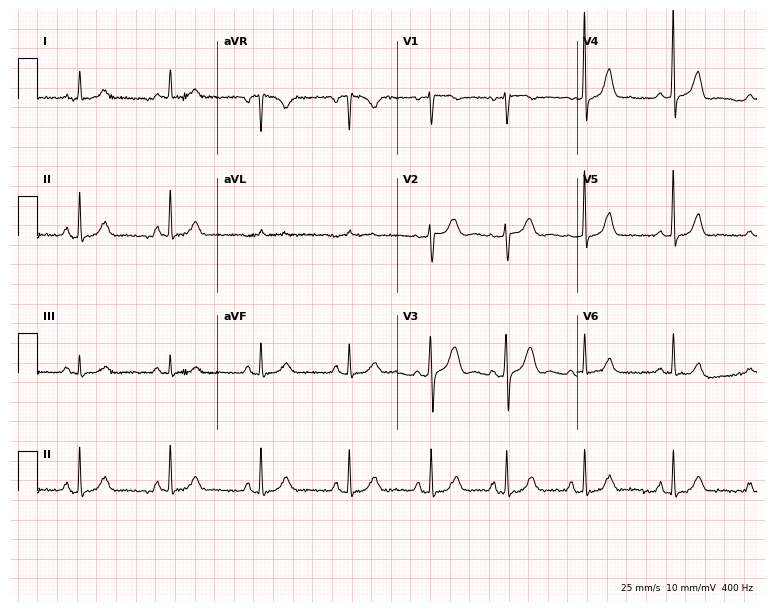
12-lead ECG from a woman, 58 years old. No first-degree AV block, right bundle branch block (RBBB), left bundle branch block (LBBB), sinus bradycardia, atrial fibrillation (AF) or sinus tachycardia recorded for this tracing. Findings outside these six are not listed.